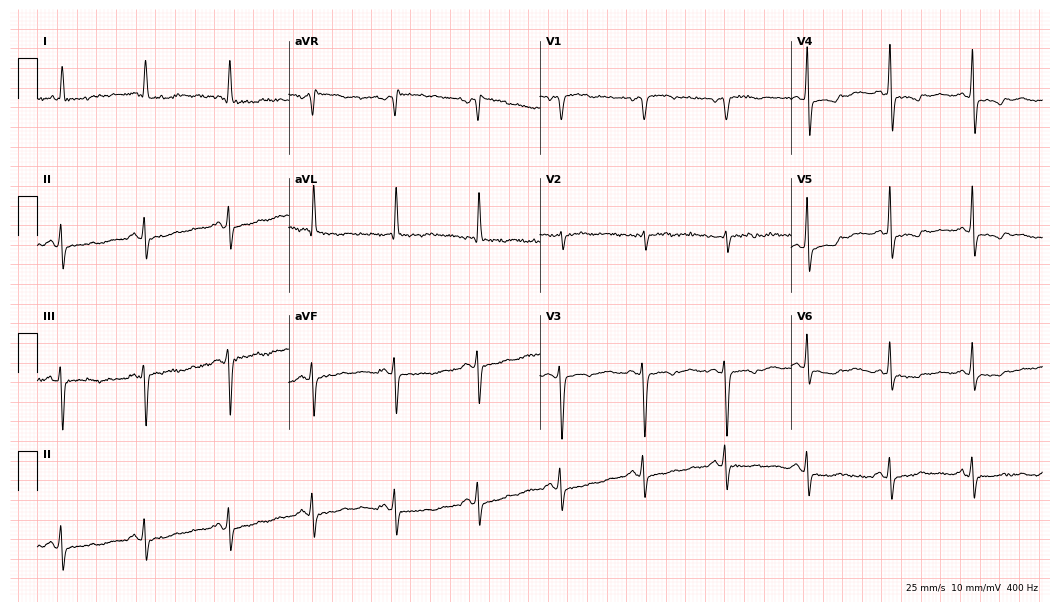
Resting 12-lead electrocardiogram. Patient: a 79-year-old female. None of these six findings is recorded: first-degree AV block, right bundle branch block, left bundle branch block, sinus bradycardia, atrial fibrillation, sinus tachycardia. Only these six findings were labelled.